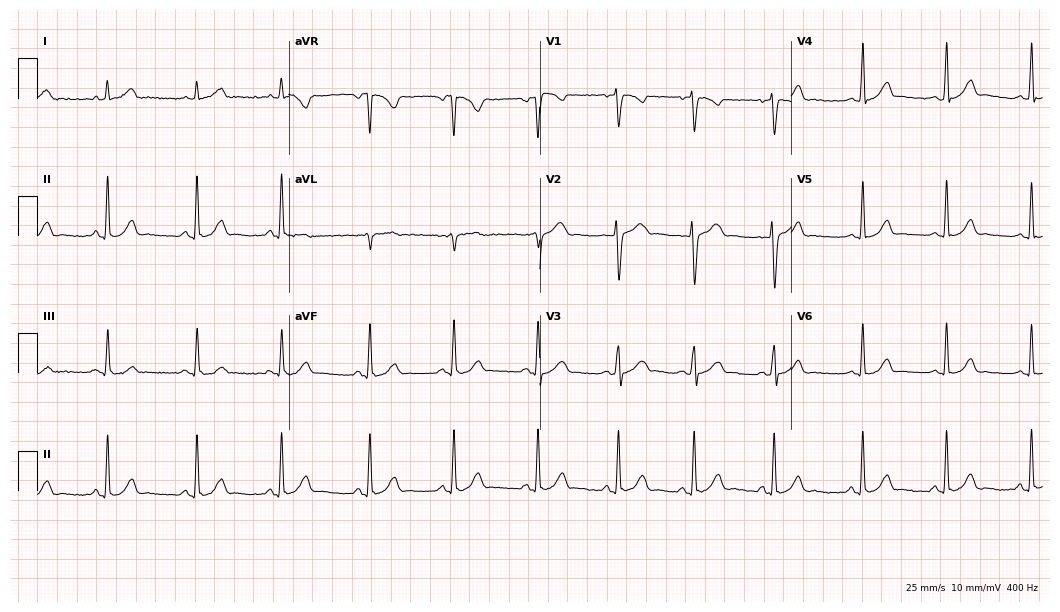
Electrocardiogram, a 24-year-old female. Overall reading on record: normal ECG.